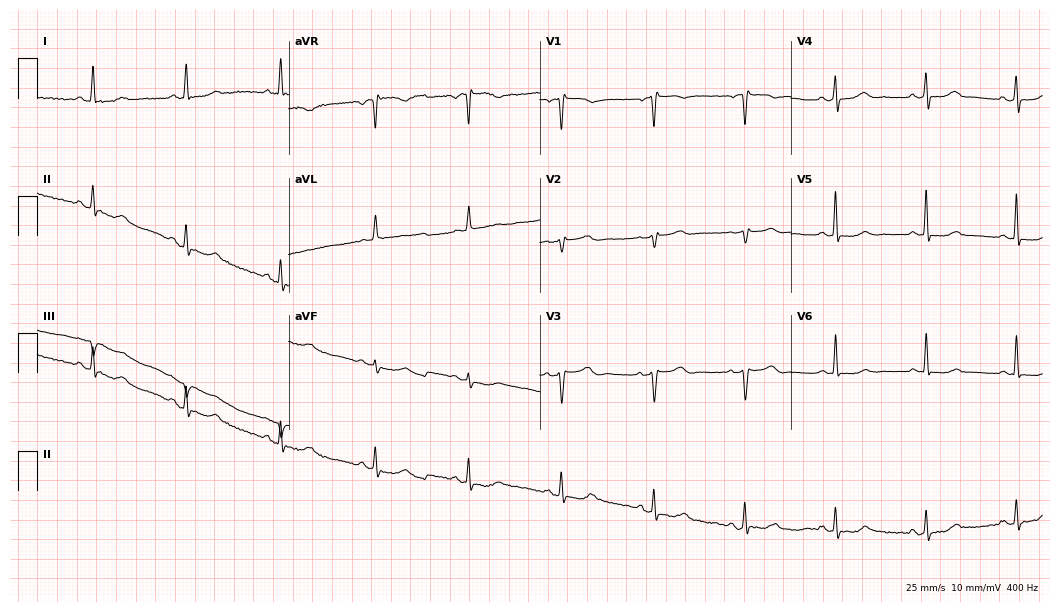
Electrocardiogram (10.2-second recording at 400 Hz), a female, 67 years old. Overall reading on record: normal ECG.